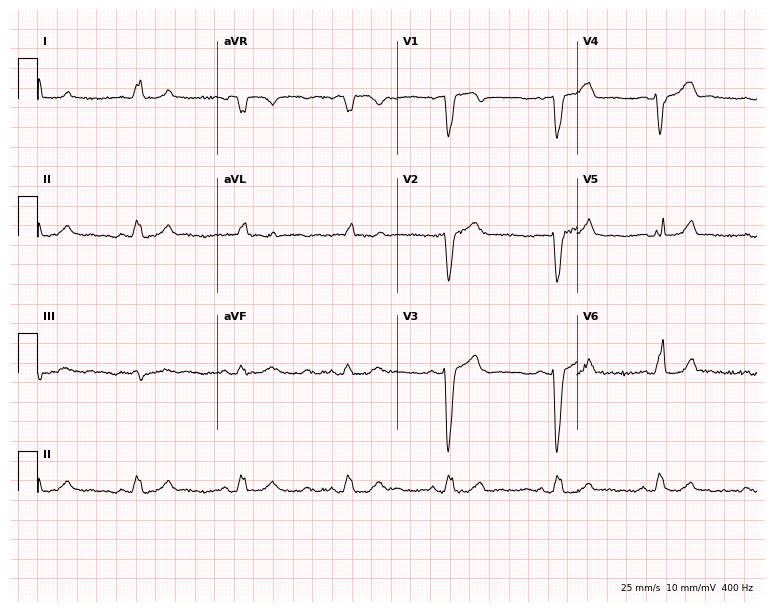
12-lead ECG from a 44-year-old female patient (7.3-second recording at 400 Hz). Shows left bundle branch block (LBBB).